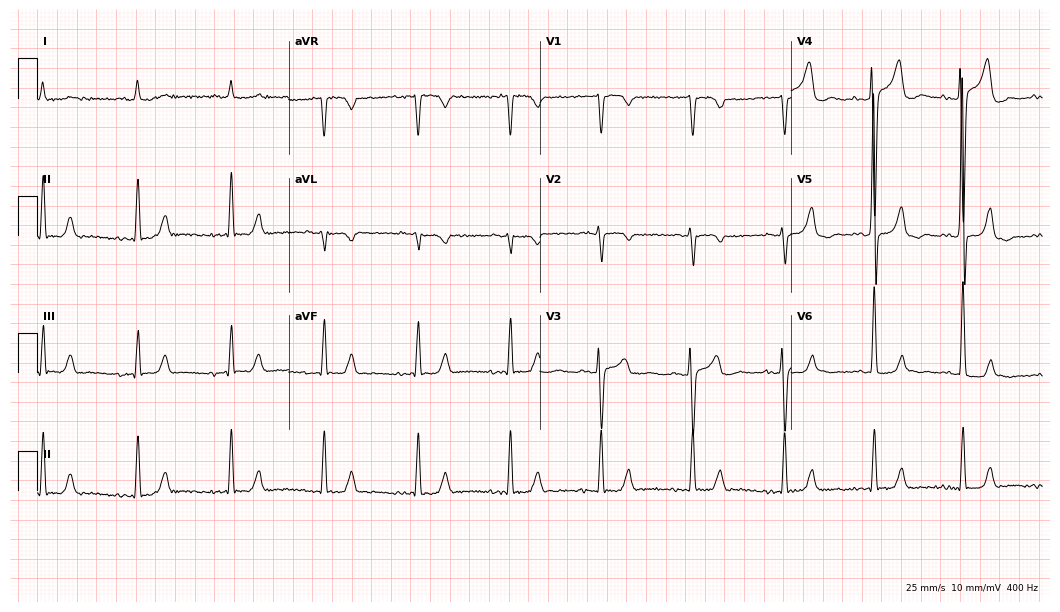
12-lead ECG from a 63-year-old male patient (10.2-second recording at 400 Hz). No first-degree AV block, right bundle branch block, left bundle branch block, sinus bradycardia, atrial fibrillation or sinus tachycardia recorded for this tracing.